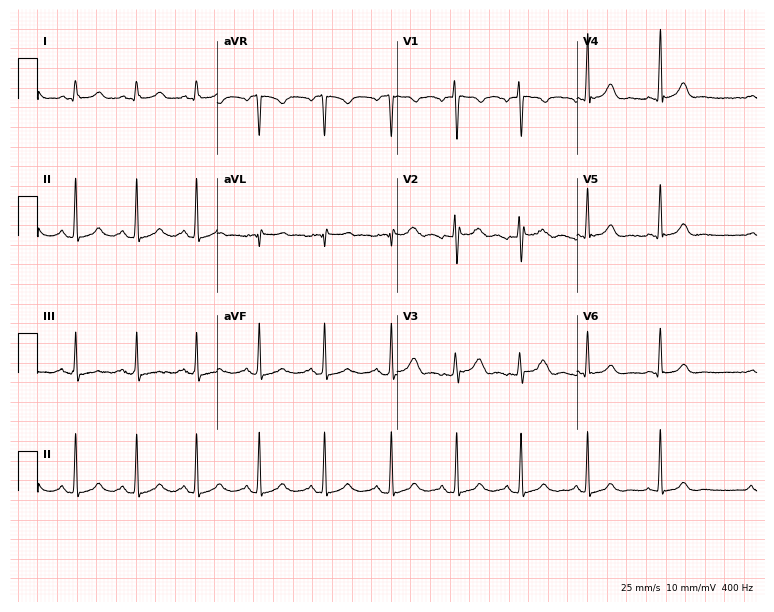
12-lead ECG from a 34-year-old female. Labelled as a normal ECG.